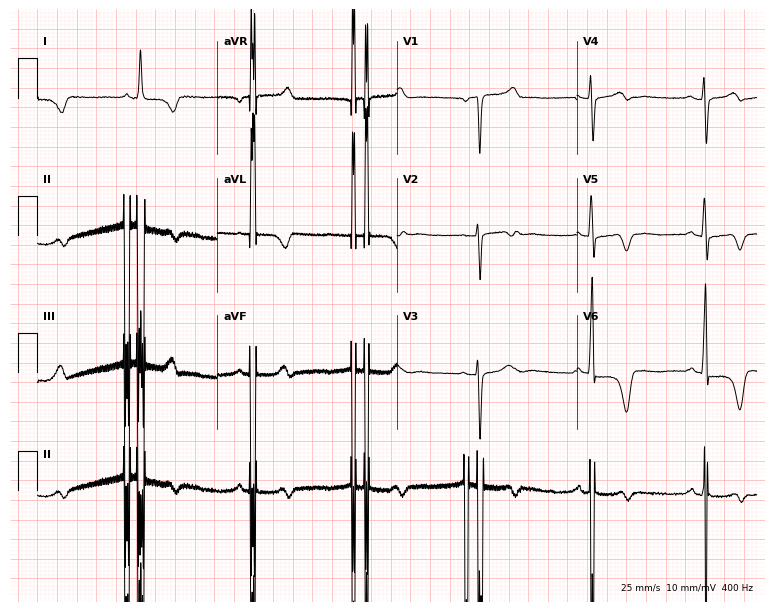
12-lead ECG (7.3-second recording at 400 Hz) from a female, 64 years old. Screened for six findings — first-degree AV block, right bundle branch block, left bundle branch block, sinus bradycardia, atrial fibrillation, sinus tachycardia — none is recorded. Other findings, if any, are not listed.